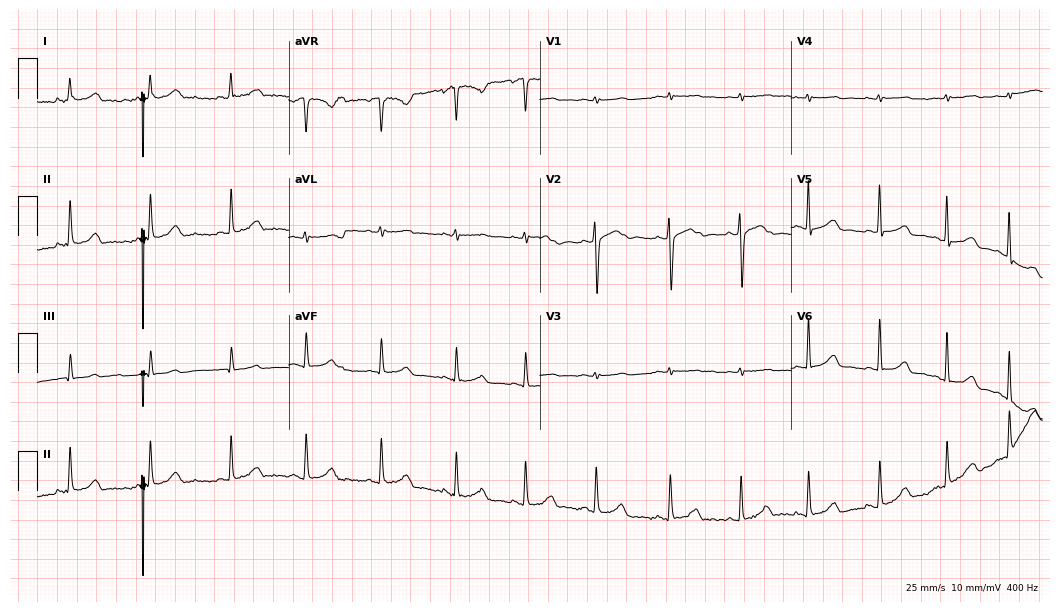
ECG (10.2-second recording at 400 Hz) — a female, 27 years old. Screened for six findings — first-degree AV block, right bundle branch block, left bundle branch block, sinus bradycardia, atrial fibrillation, sinus tachycardia — none is recorded. Findings outside these six are not listed.